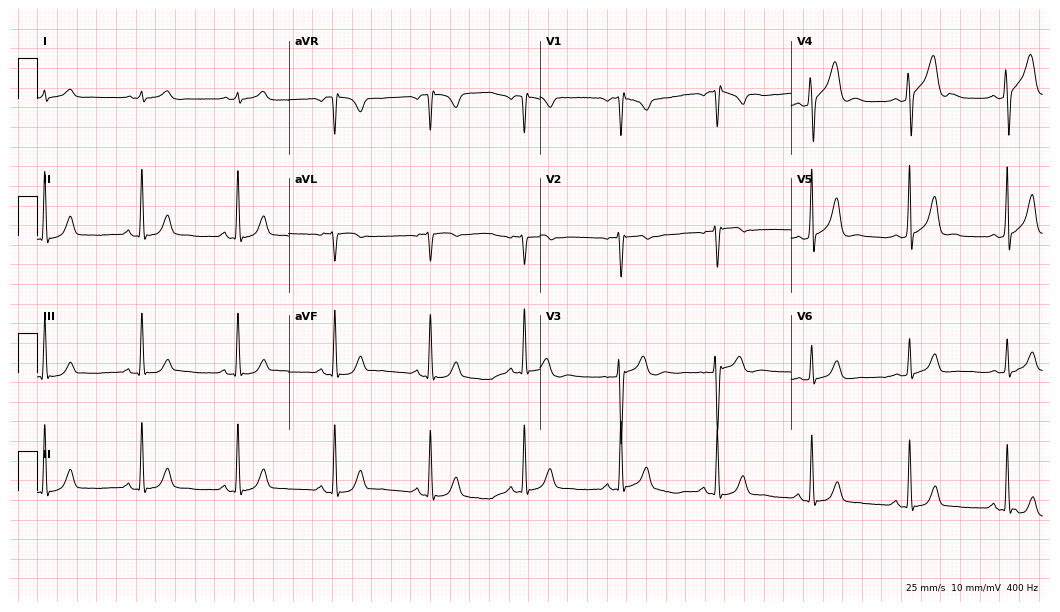
Standard 12-lead ECG recorded from a 24-year-old male. Read as a normal ECG.